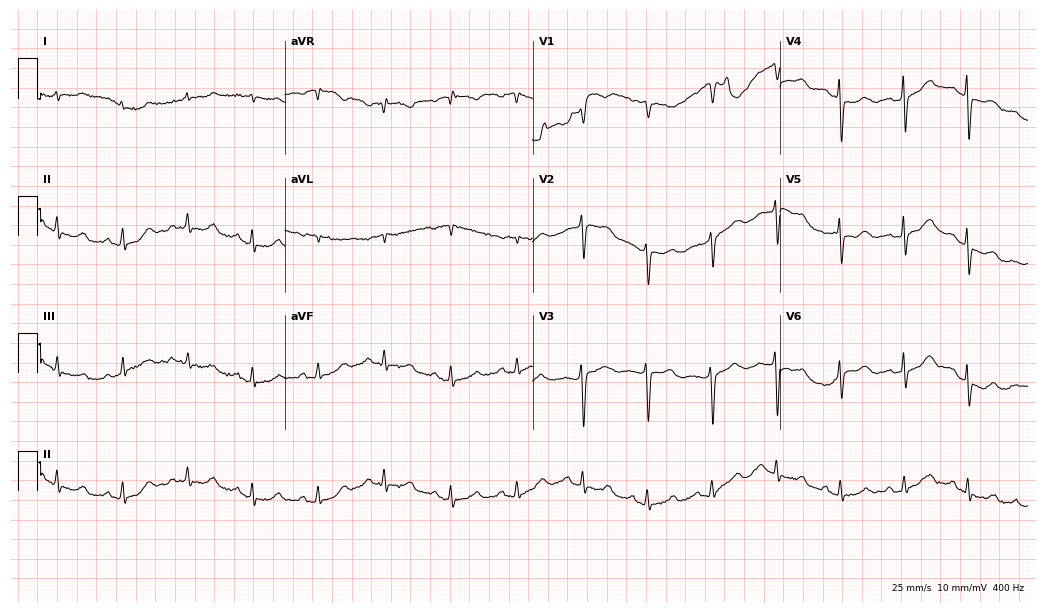
12-lead ECG (10.1-second recording at 400 Hz) from a 44-year-old female. Screened for six findings — first-degree AV block, right bundle branch block, left bundle branch block, sinus bradycardia, atrial fibrillation, sinus tachycardia — none is recorded.